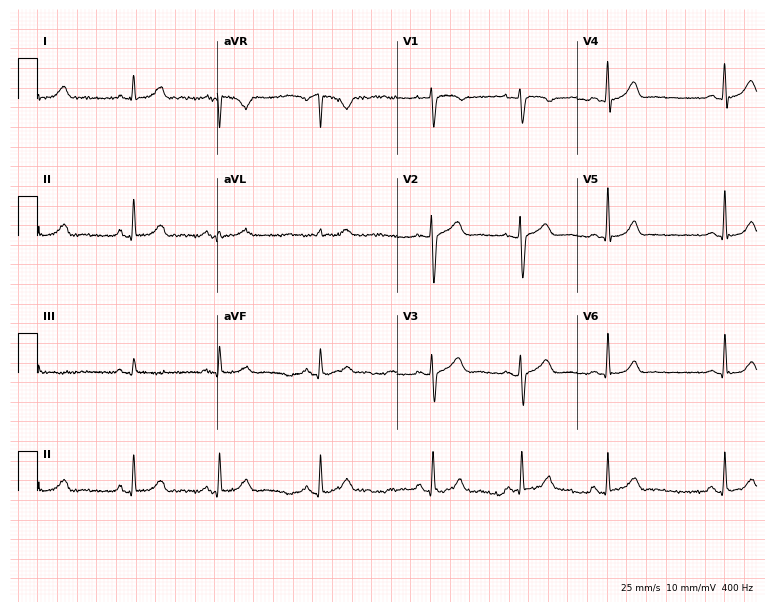
12-lead ECG from a 35-year-old woman. Recorded interpretation: within normal limits.